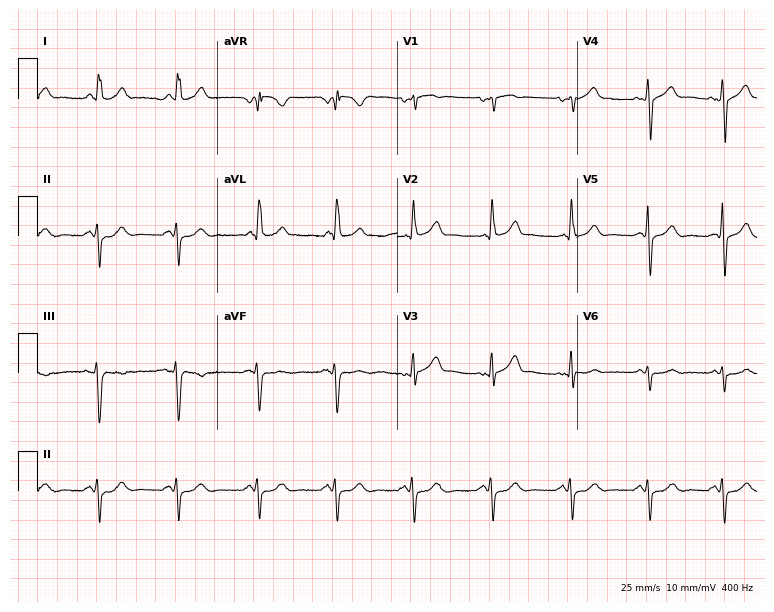
ECG (7.3-second recording at 400 Hz) — a female, 58 years old. Screened for six findings — first-degree AV block, right bundle branch block, left bundle branch block, sinus bradycardia, atrial fibrillation, sinus tachycardia — none is recorded.